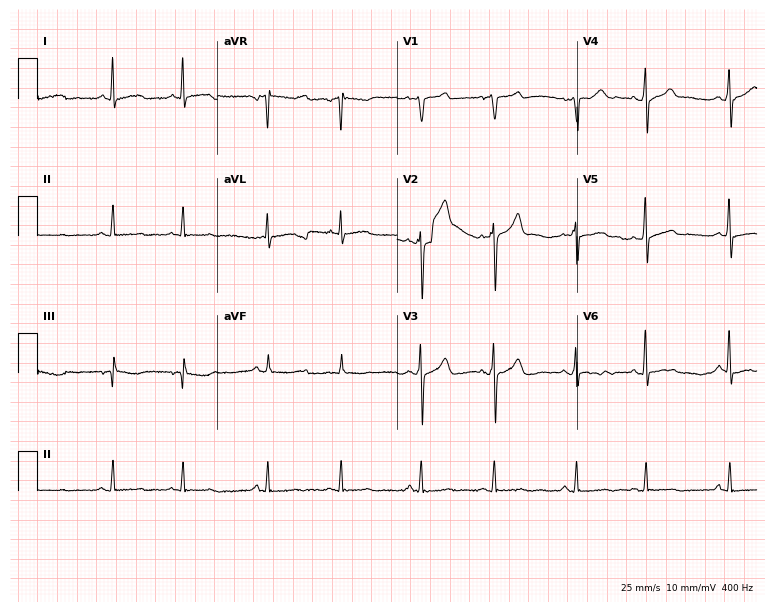
Electrocardiogram, a 42-year-old man. Overall reading on record: normal ECG.